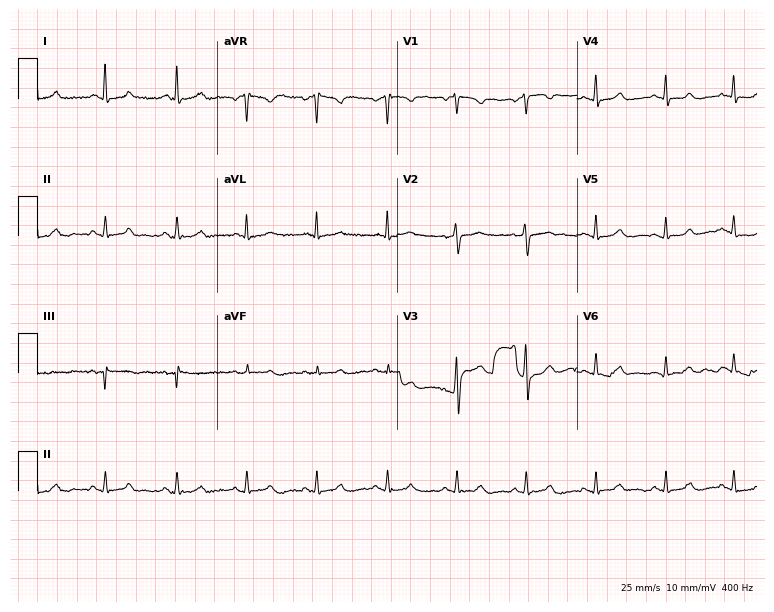
ECG — an 84-year-old woman. Labelled as a normal ECG.